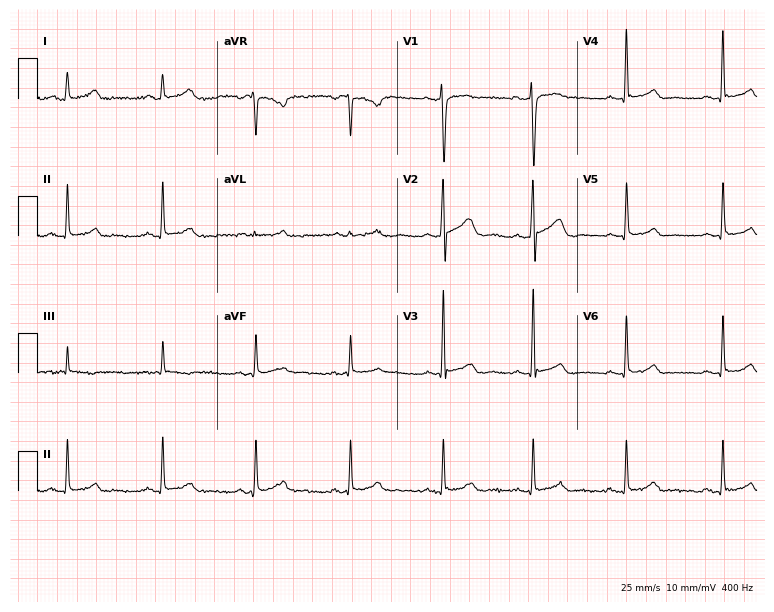
Standard 12-lead ECG recorded from a 35-year-old male (7.3-second recording at 400 Hz). None of these six findings is recorded: first-degree AV block, right bundle branch block, left bundle branch block, sinus bradycardia, atrial fibrillation, sinus tachycardia.